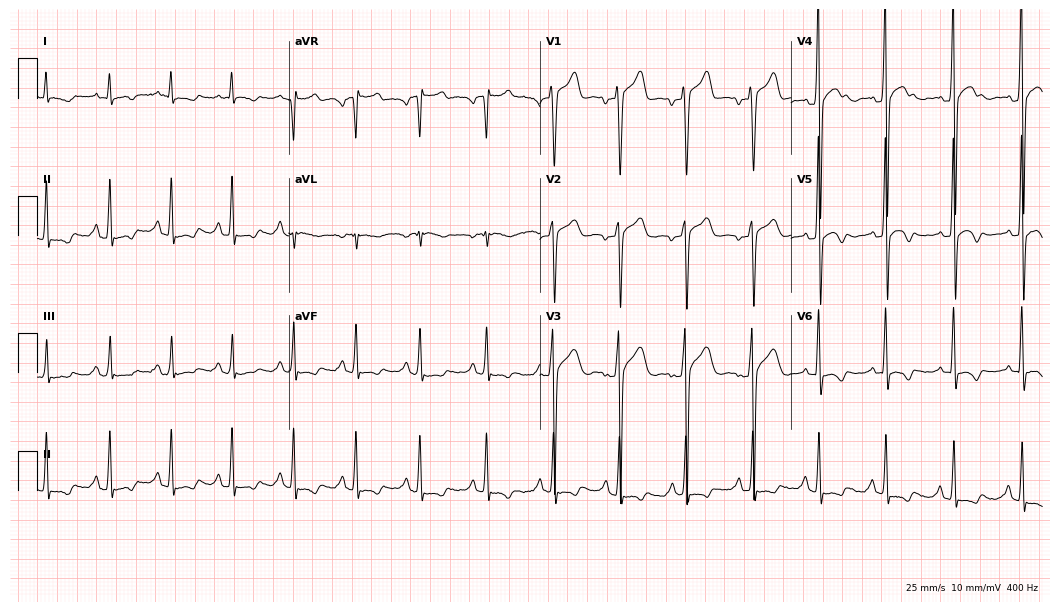
Resting 12-lead electrocardiogram (10.2-second recording at 400 Hz). Patient: a 39-year-old man. None of these six findings is recorded: first-degree AV block, right bundle branch block, left bundle branch block, sinus bradycardia, atrial fibrillation, sinus tachycardia.